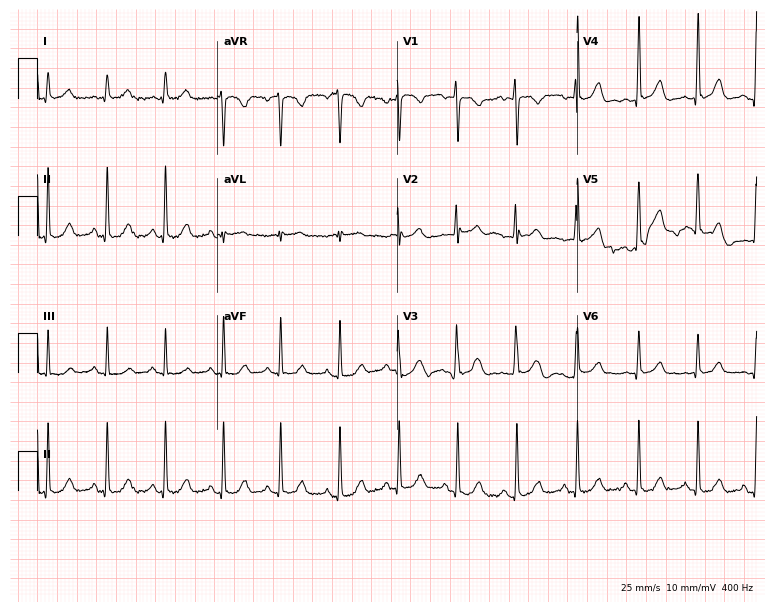
Electrocardiogram, a female patient, 40 years old. Overall reading on record: normal ECG.